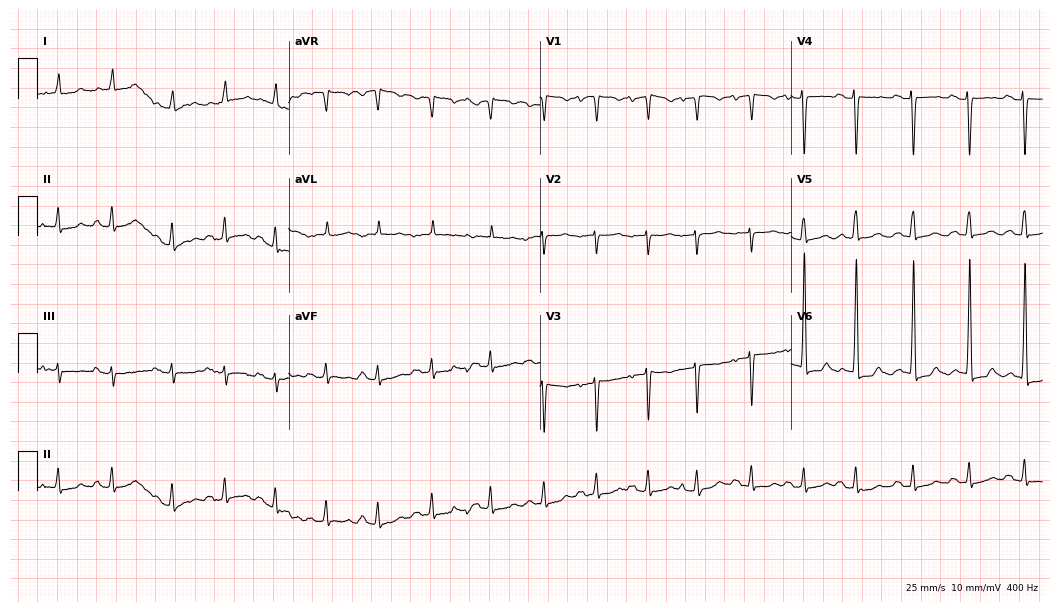
Resting 12-lead electrocardiogram (10.2-second recording at 400 Hz). Patient: a female, 87 years old. The tracing shows sinus tachycardia (a sinus rate of 100 beats per minute or more).